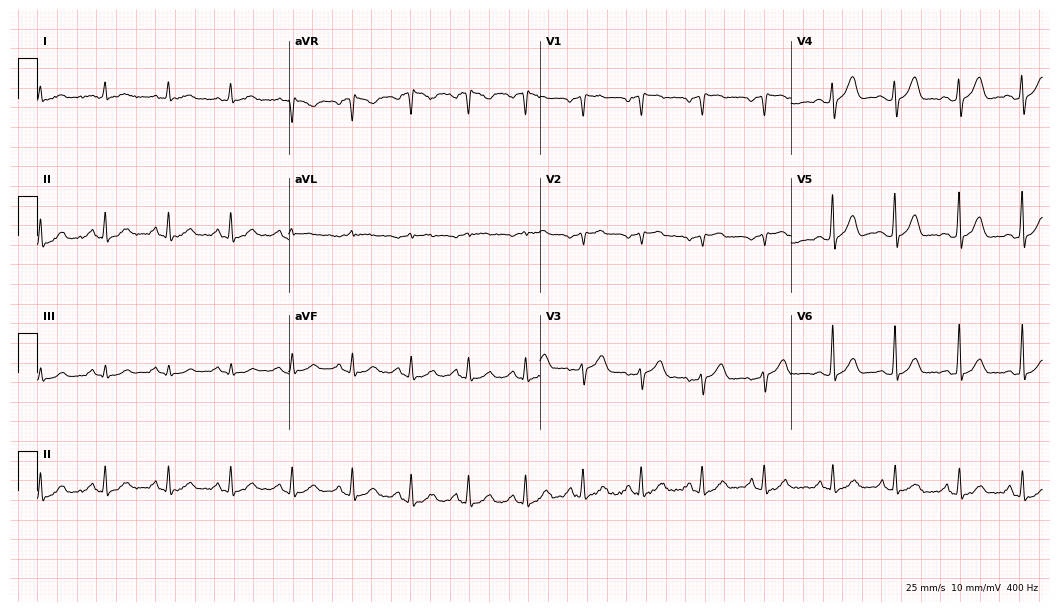
Standard 12-lead ECG recorded from a male patient, 70 years old (10.2-second recording at 400 Hz). Read as a normal ECG.